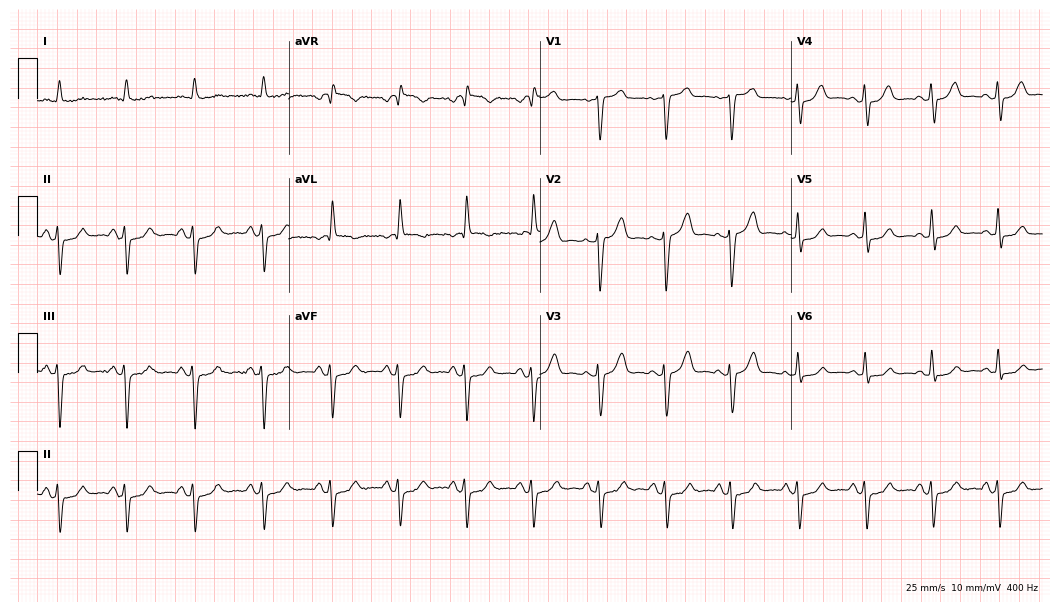
Electrocardiogram (10.2-second recording at 400 Hz), a male, 61 years old. Of the six screened findings (first-degree AV block, right bundle branch block (RBBB), left bundle branch block (LBBB), sinus bradycardia, atrial fibrillation (AF), sinus tachycardia), none is recorded.